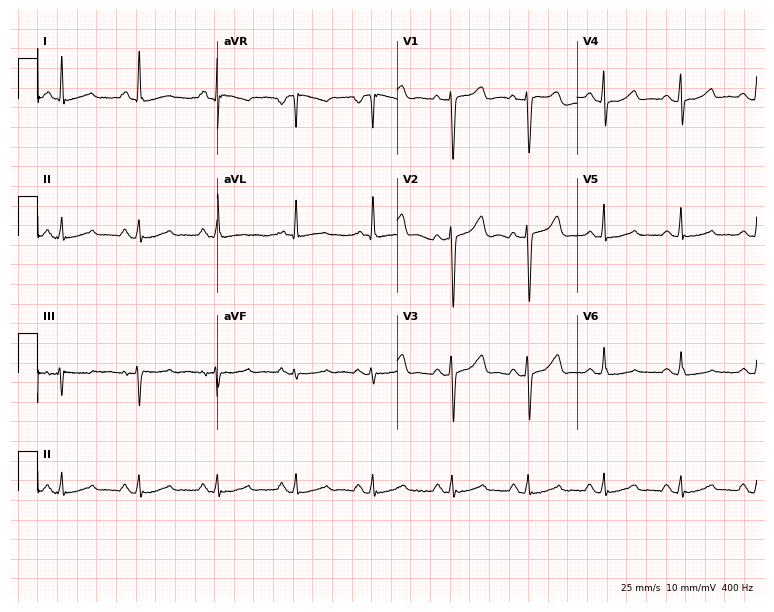
12-lead ECG from a 45-year-old woman. Recorded interpretation: within normal limits.